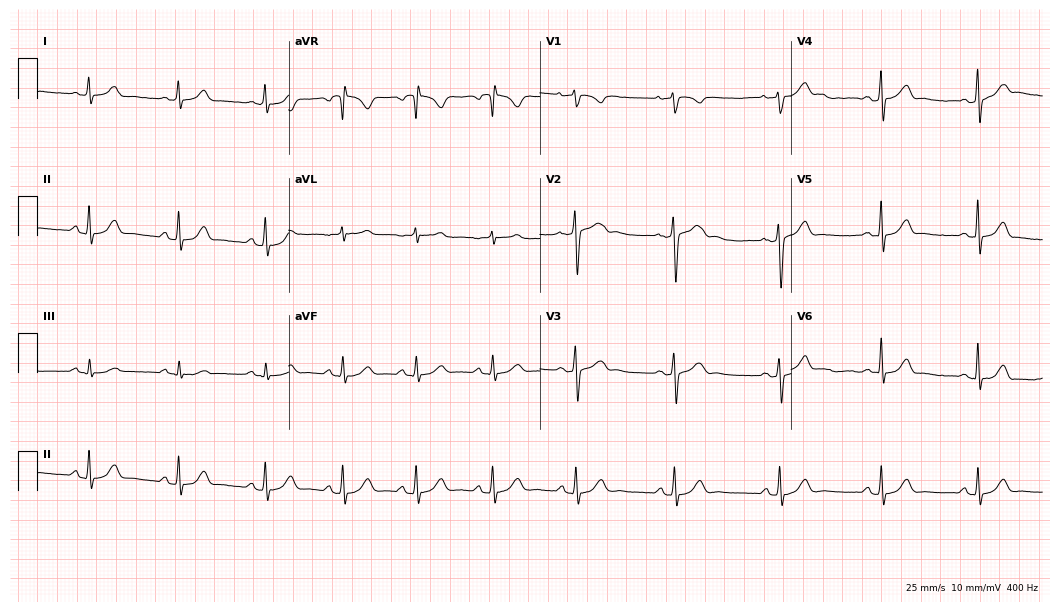
12-lead ECG from a male, 33 years old. Labelled as a normal ECG.